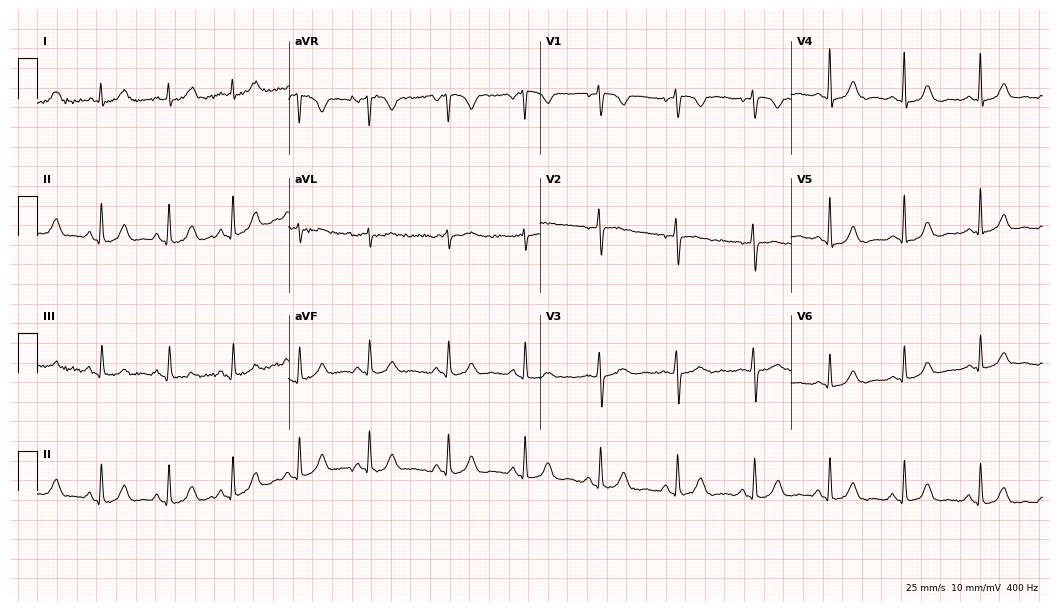
ECG — a female patient, 37 years old. Labelled as a normal ECG.